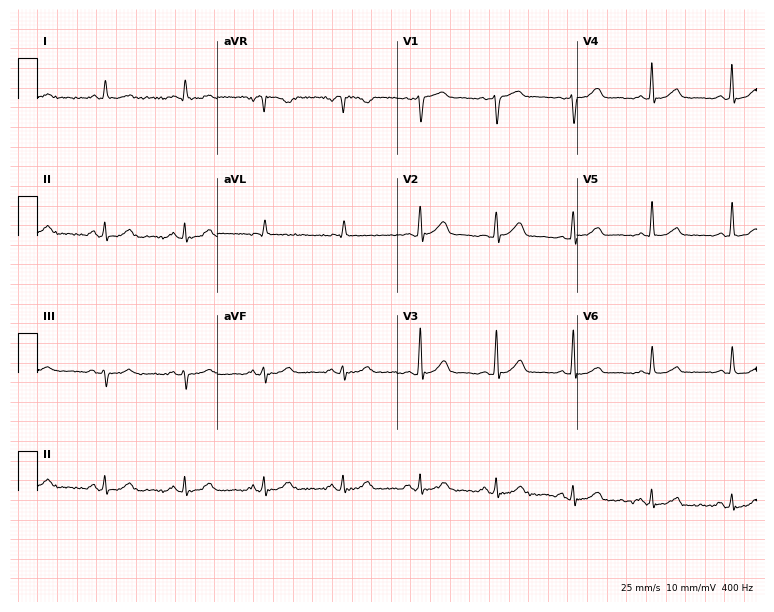
Electrocardiogram, a 73-year-old male. Of the six screened findings (first-degree AV block, right bundle branch block, left bundle branch block, sinus bradycardia, atrial fibrillation, sinus tachycardia), none is recorded.